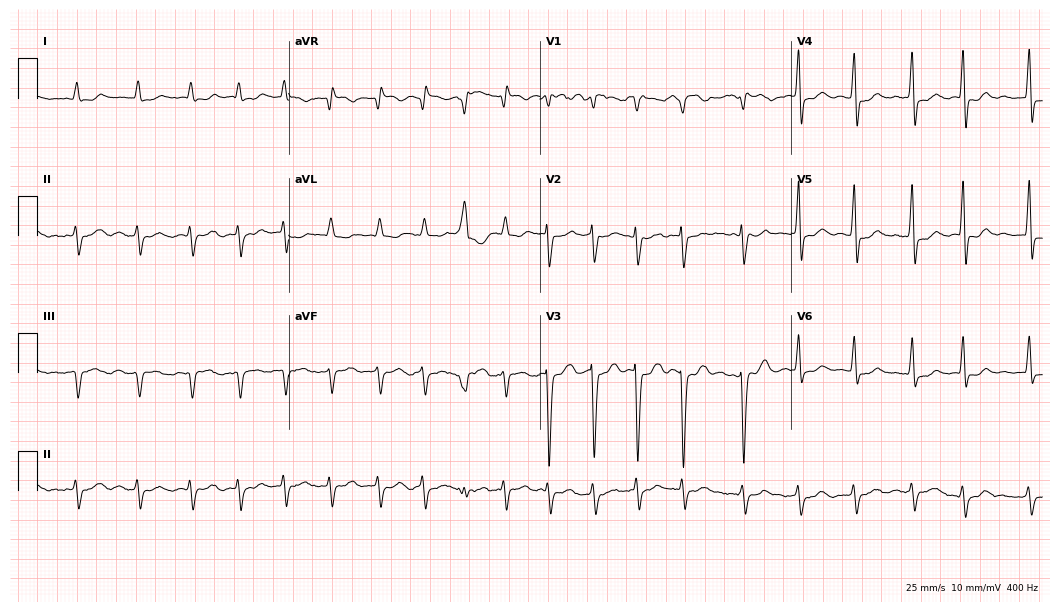
12-lead ECG from a female patient, 85 years old (10.2-second recording at 400 Hz). Shows atrial fibrillation (AF).